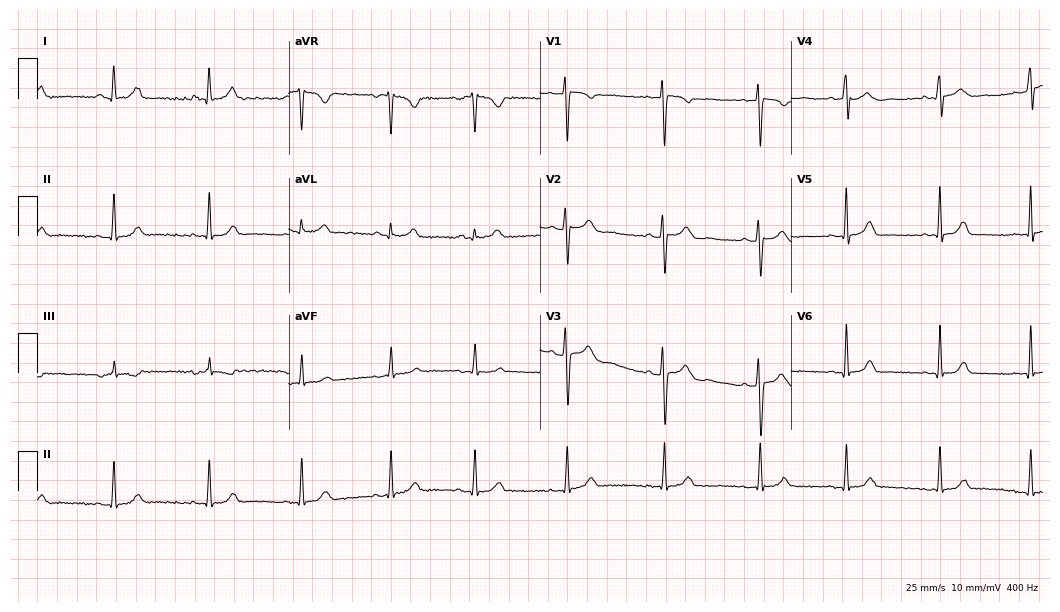
Resting 12-lead electrocardiogram (10.2-second recording at 400 Hz). Patient: a woman, 25 years old. Read as a normal ECG.